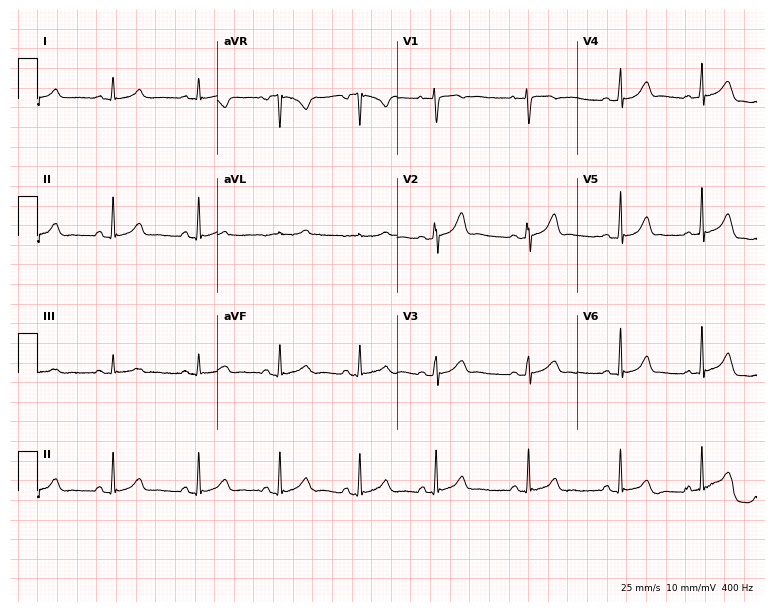
Standard 12-lead ECG recorded from a 20-year-old woman. Read as a normal ECG.